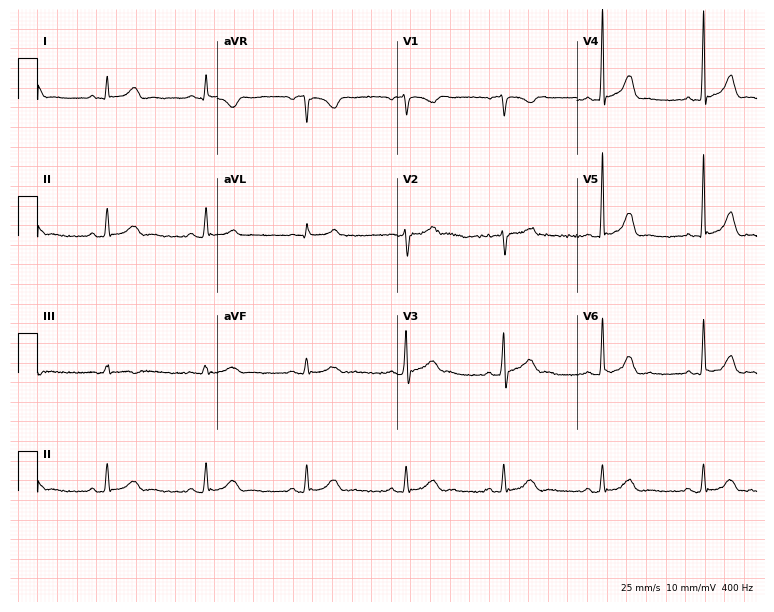
ECG — a male patient, 52 years old. Screened for six findings — first-degree AV block, right bundle branch block, left bundle branch block, sinus bradycardia, atrial fibrillation, sinus tachycardia — none is recorded. Findings outside these six are not listed.